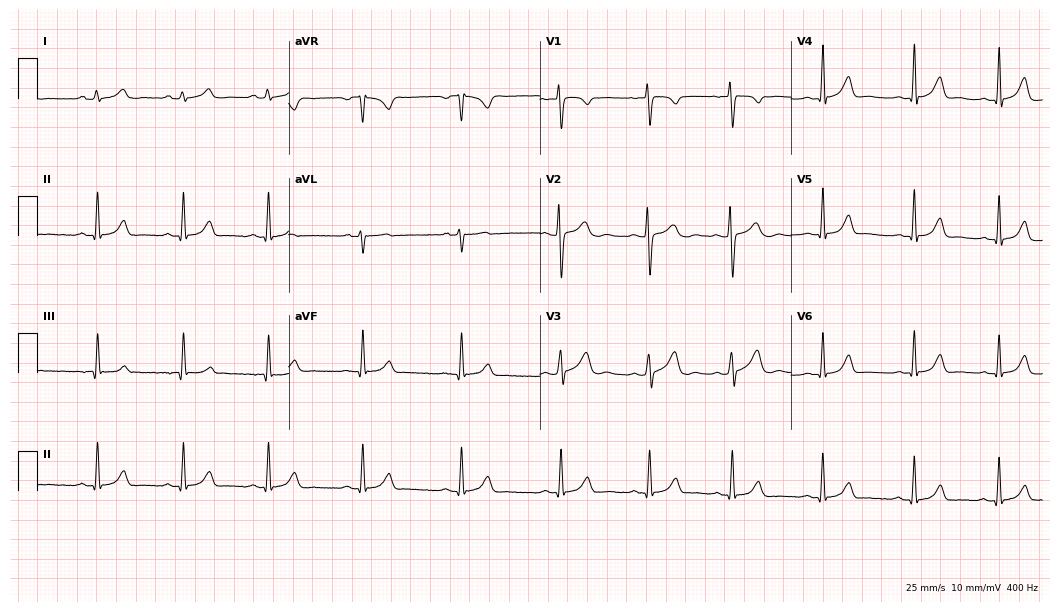
Standard 12-lead ECG recorded from an 18-year-old woman (10.2-second recording at 400 Hz). None of these six findings is recorded: first-degree AV block, right bundle branch block, left bundle branch block, sinus bradycardia, atrial fibrillation, sinus tachycardia. Findings outside these six are not listed.